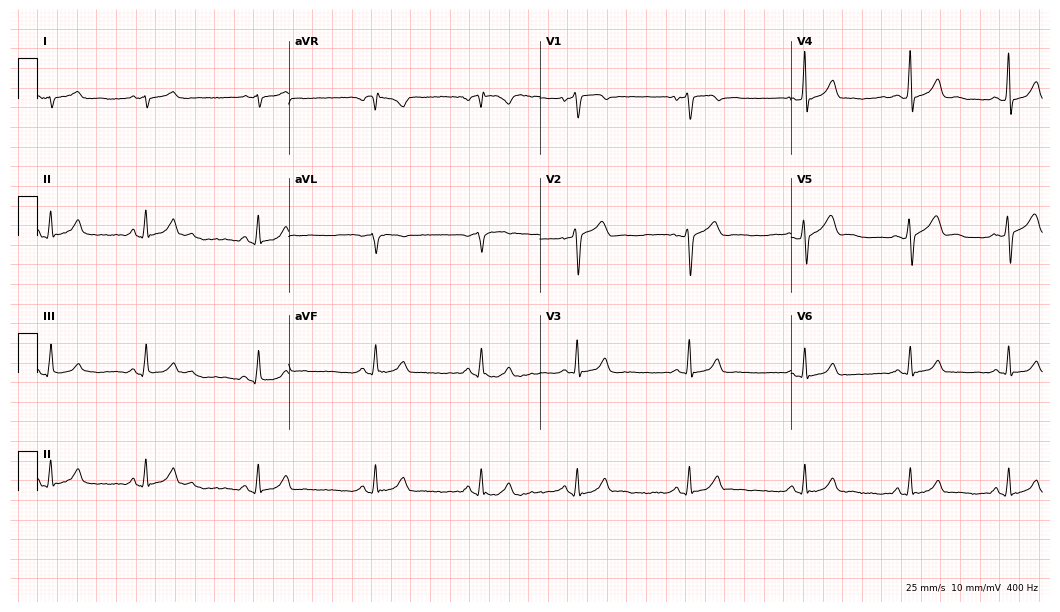
12-lead ECG from a 31-year-old man. Labelled as a normal ECG.